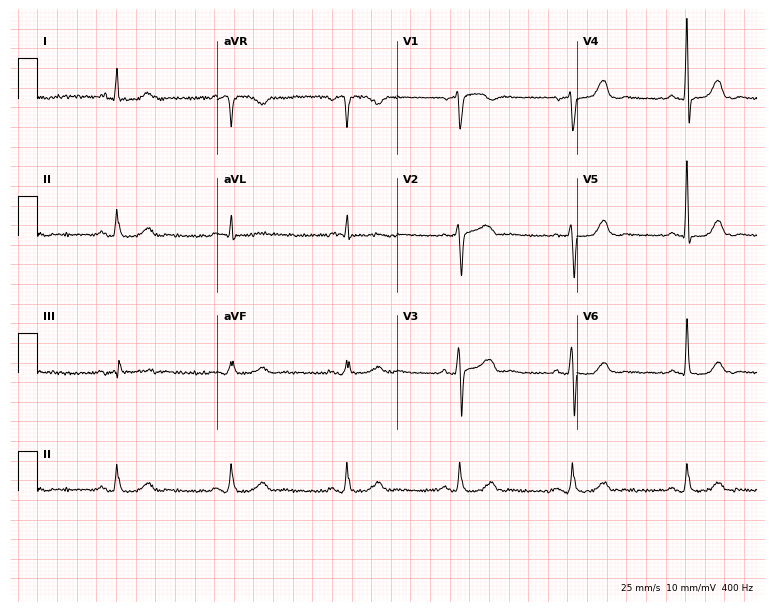
12-lead ECG (7.3-second recording at 400 Hz) from a woman, 67 years old. Screened for six findings — first-degree AV block, right bundle branch block (RBBB), left bundle branch block (LBBB), sinus bradycardia, atrial fibrillation (AF), sinus tachycardia — none is recorded. Findings outside these six are not listed.